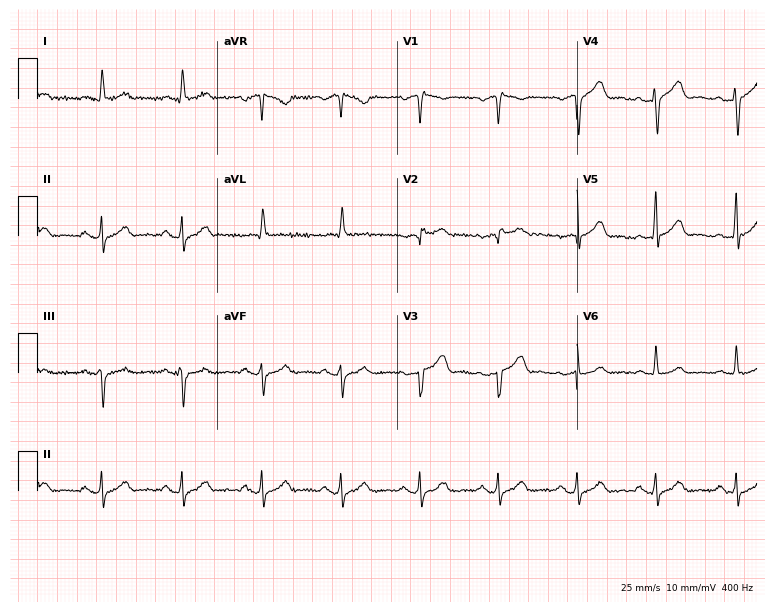
12-lead ECG (7.3-second recording at 400 Hz) from a 58-year-old man. Screened for six findings — first-degree AV block, right bundle branch block, left bundle branch block, sinus bradycardia, atrial fibrillation, sinus tachycardia — none is recorded. Only these six findings were labelled.